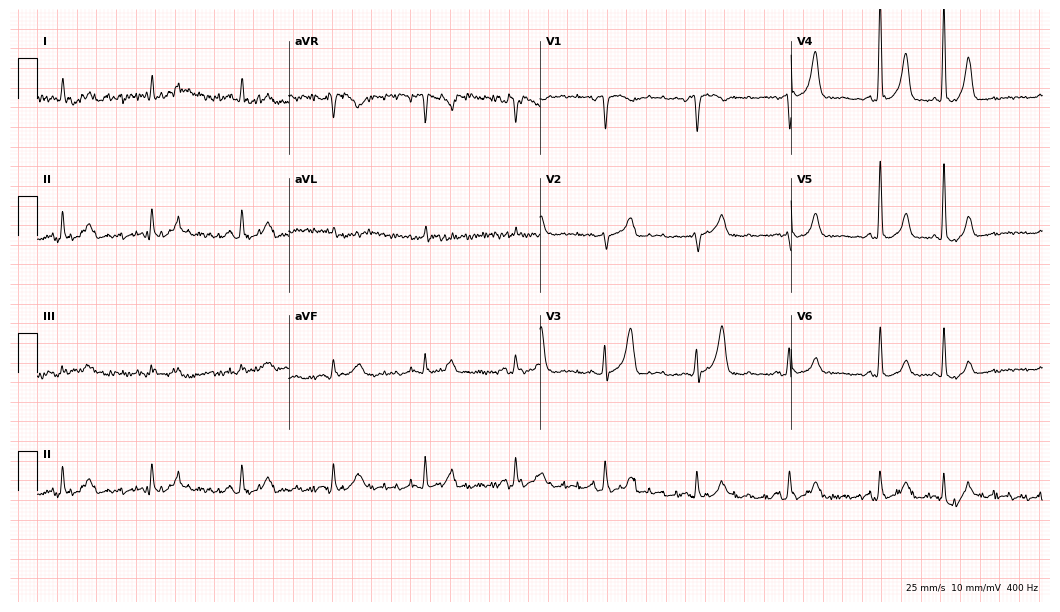
ECG (10.2-second recording at 400 Hz) — an 85-year-old male patient. Screened for six findings — first-degree AV block, right bundle branch block (RBBB), left bundle branch block (LBBB), sinus bradycardia, atrial fibrillation (AF), sinus tachycardia — none is recorded. Only these six findings were labelled.